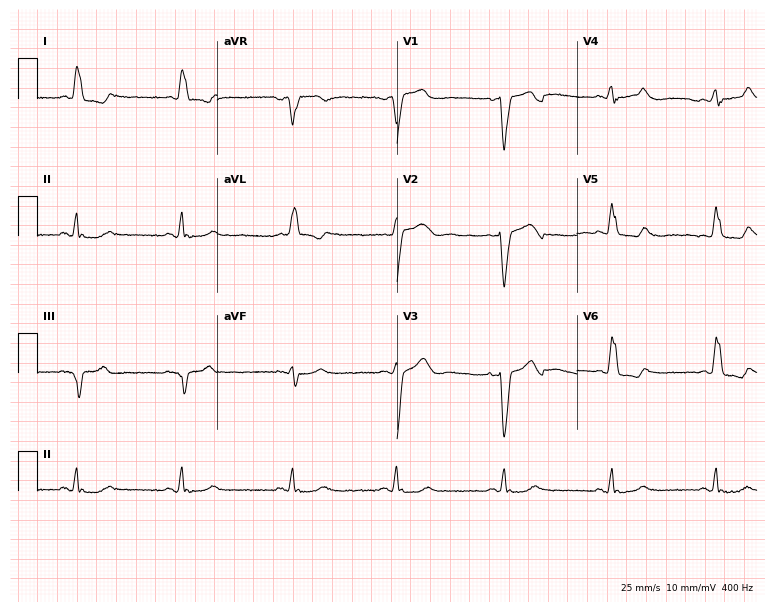
Resting 12-lead electrocardiogram (7.3-second recording at 400 Hz). Patient: a female, 84 years old. The tracing shows left bundle branch block.